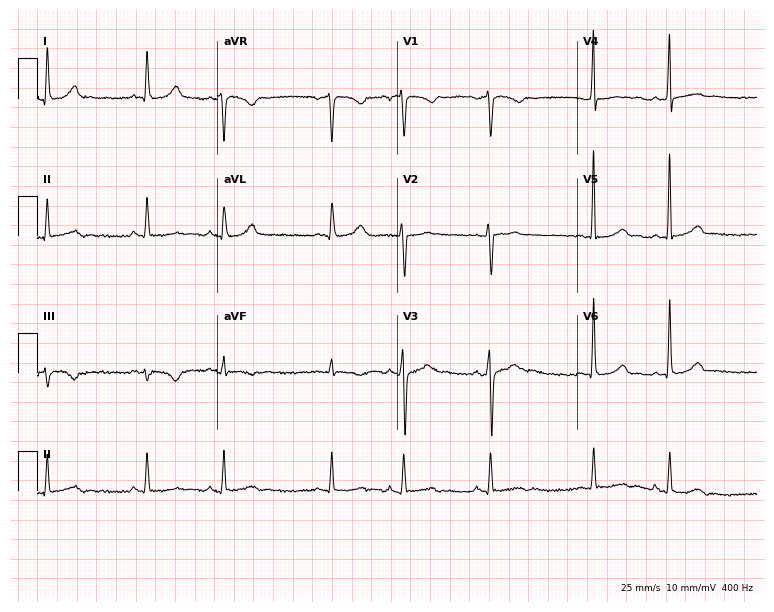
12-lead ECG (7.3-second recording at 400 Hz) from a male patient, 34 years old. Labelled as a normal ECG.